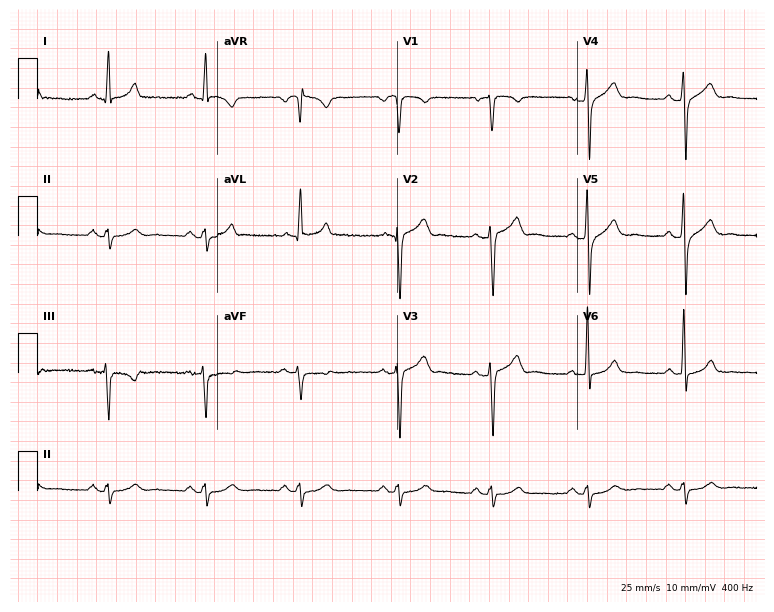
ECG (7.3-second recording at 400 Hz) — a 49-year-old male. Screened for six findings — first-degree AV block, right bundle branch block, left bundle branch block, sinus bradycardia, atrial fibrillation, sinus tachycardia — none is recorded. Findings outside these six are not listed.